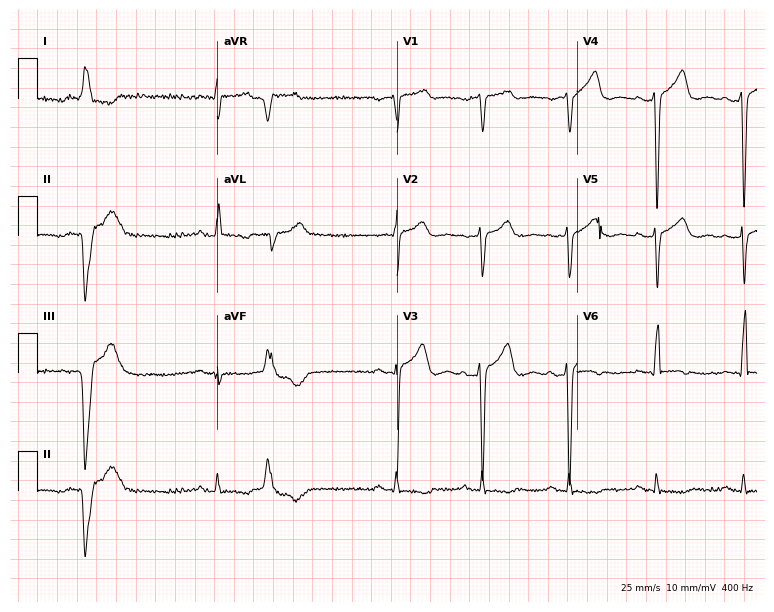
ECG — a 77-year-old male. Screened for six findings — first-degree AV block, right bundle branch block, left bundle branch block, sinus bradycardia, atrial fibrillation, sinus tachycardia — none is recorded. Other findings, if any, are not listed.